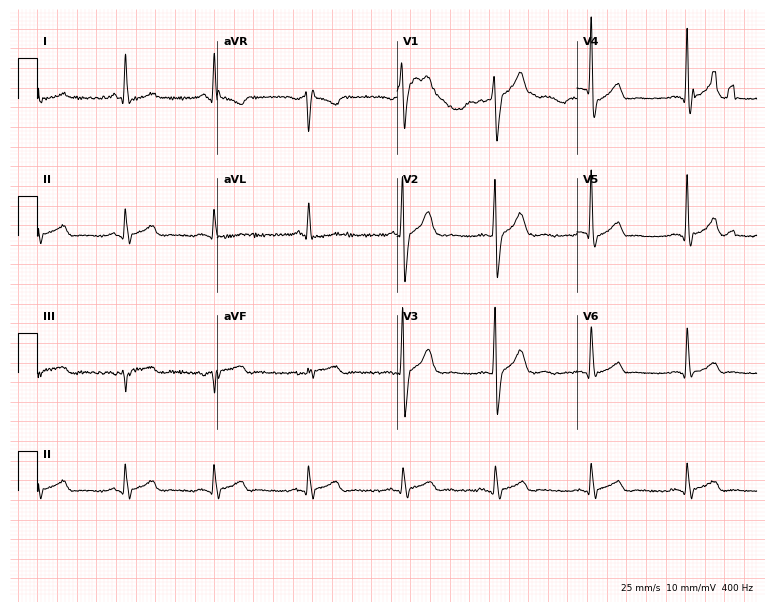
12-lead ECG (7.3-second recording at 400 Hz) from a 55-year-old male patient. Screened for six findings — first-degree AV block, right bundle branch block, left bundle branch block, sinus bradycardia, atrial fibrillation, sinus tachycardia — none is recorded. Only these six findings were labelled.